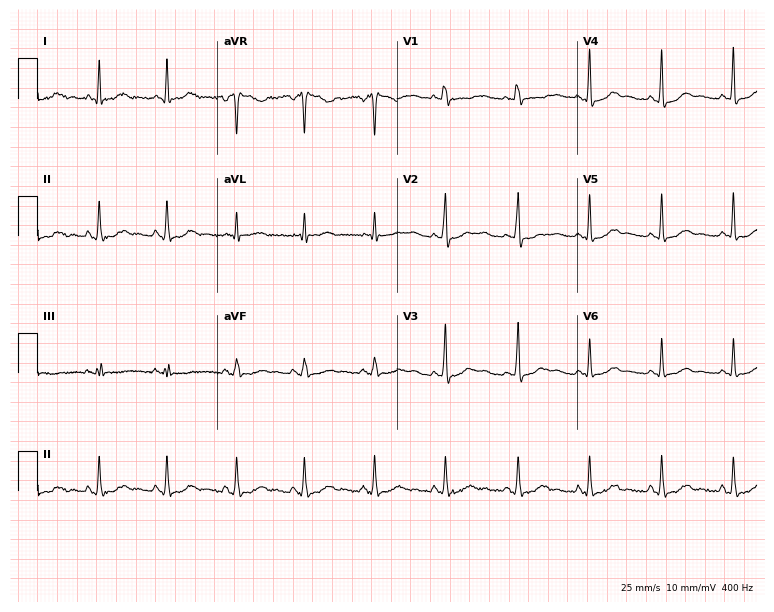
ECG (7.3-second recording at 400 Hz) — a woman, 40 years old. Screened for six findings — first-degree AV block, right bundle branch block (RBBB), left bundle branch block (LBBB), sinus bradycardia, atrial fibrillation (AF), sinus tachycardia — none is recorded.